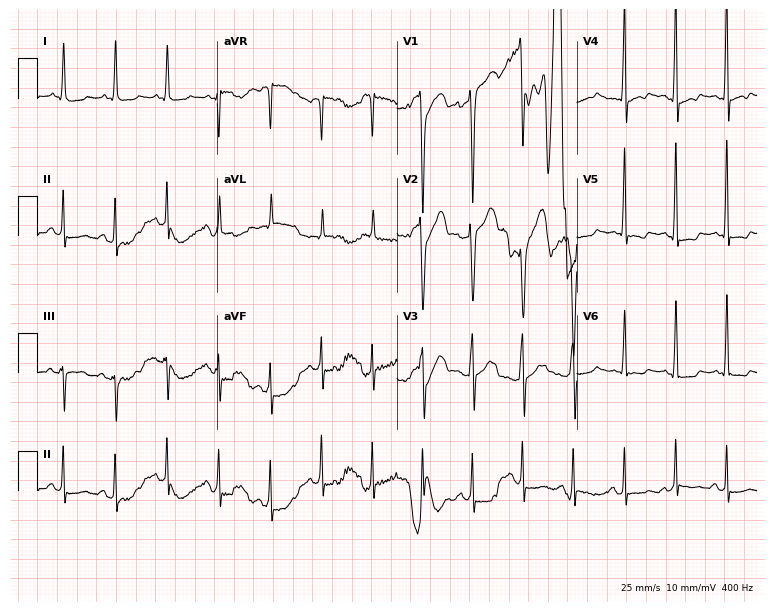
Electrocardiogram, a male, 39 years old. Interpretation includes sinus tachycardia (a sinus rate of 100 beats per minute or more).